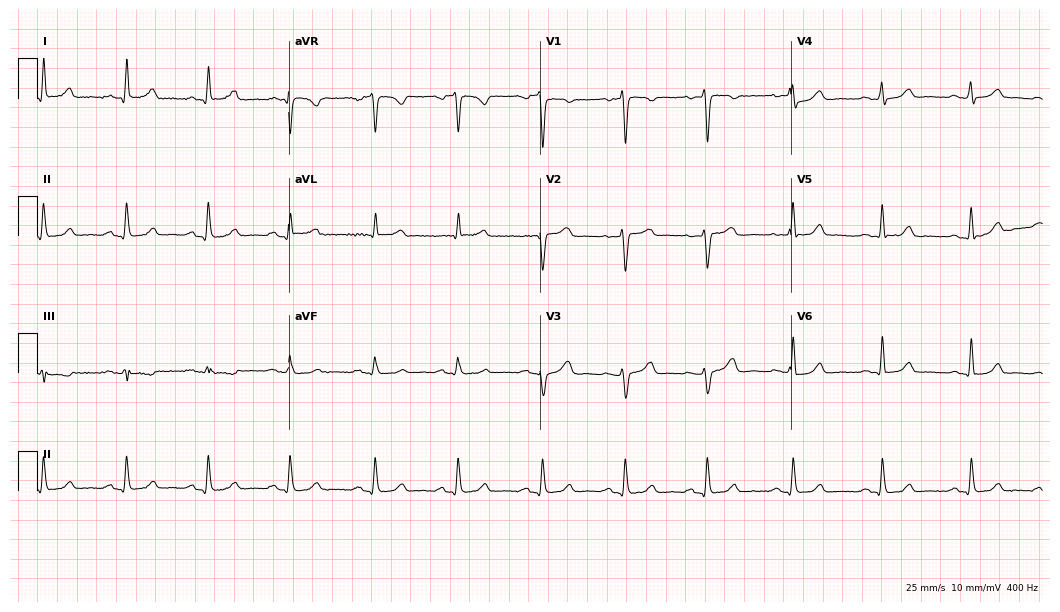
Resting 12-lead electrocardiogram. Patient: a woman, 54 years old. Read as a normal ECG.